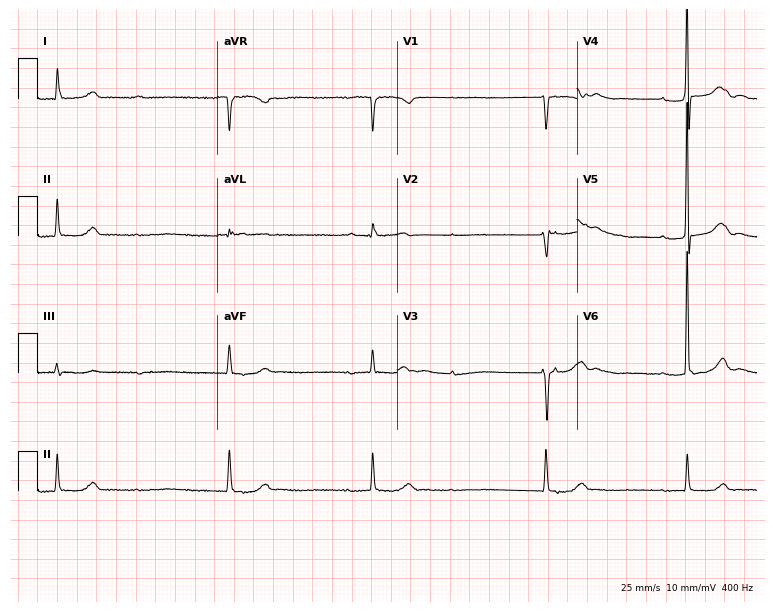
12-lead ECG (7.3-second recording at 400 Hz) from a female patient, 79 years old. Findings include first-degree AV block, atrial fibrillation (AF).